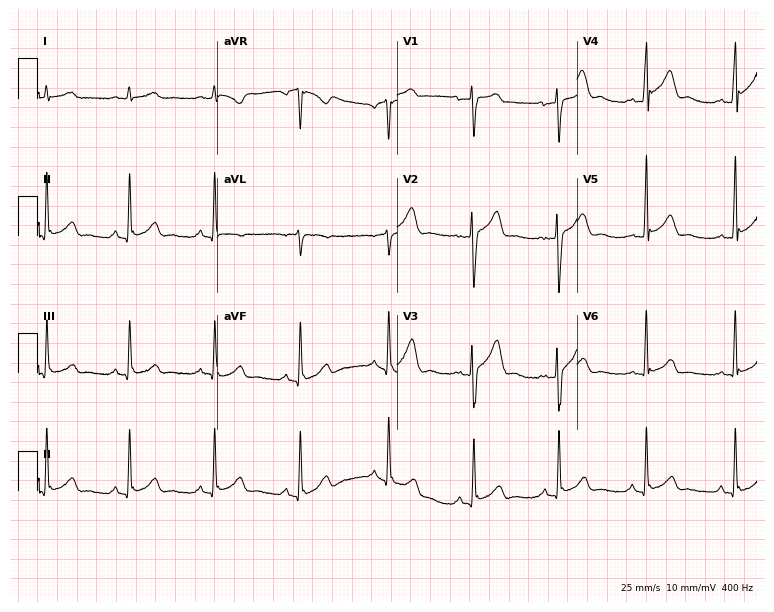
Resting 12-lead electrocardiogram. Patient: a 37-year-old male. Read as a normal ECG.